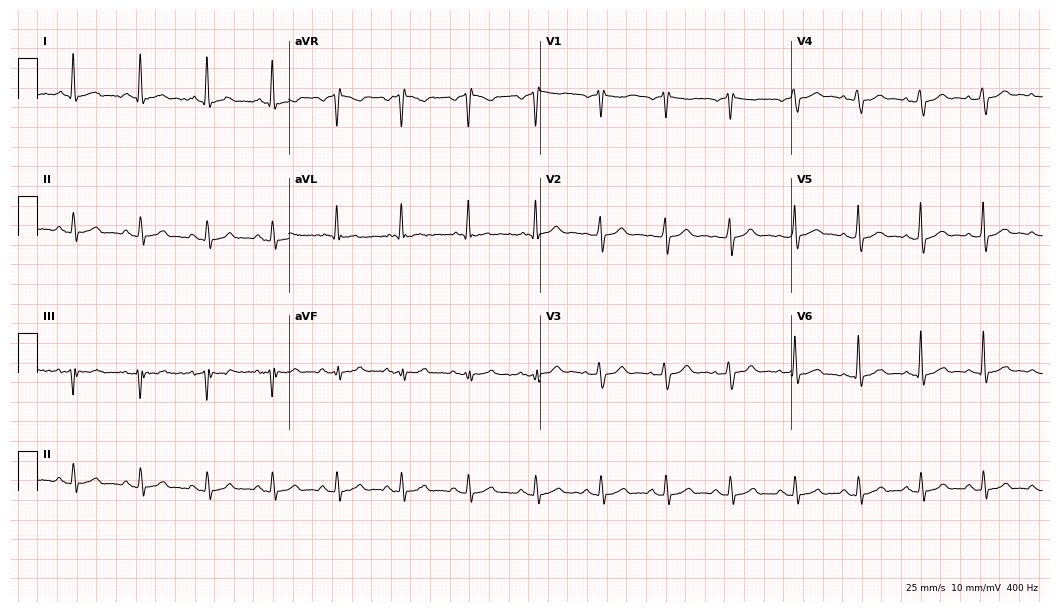
ECG (10.2-second recording at 400 Hz) — a male, 25 years old. Labelled as a normal ECG.